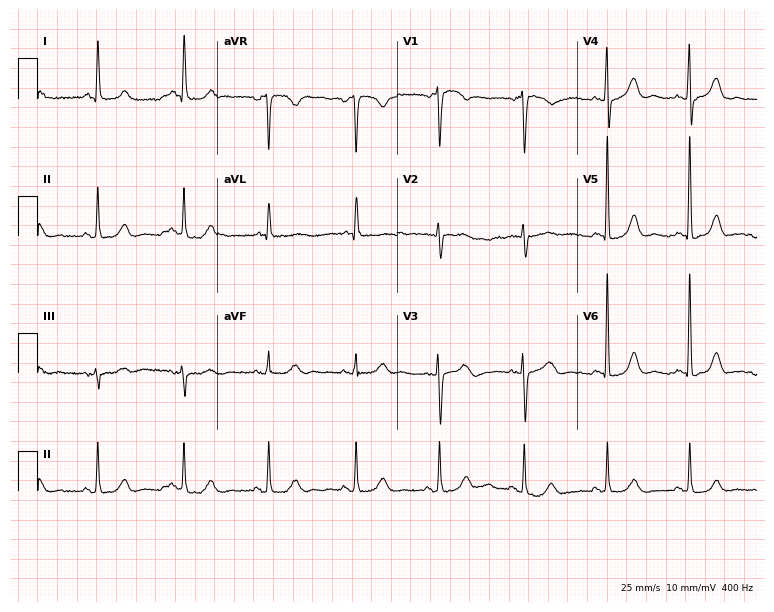
Electrocardiogram (7.3-second recording at 400 Hz), a female patient, 77 years old. Of the six screened findings (first-degree AV block, right bundle branch block (RBBB), left bundle branch block (LBBB), sinus bradycardia, atrial fibrillation (AF), sinus tachycardia), none is recorded.